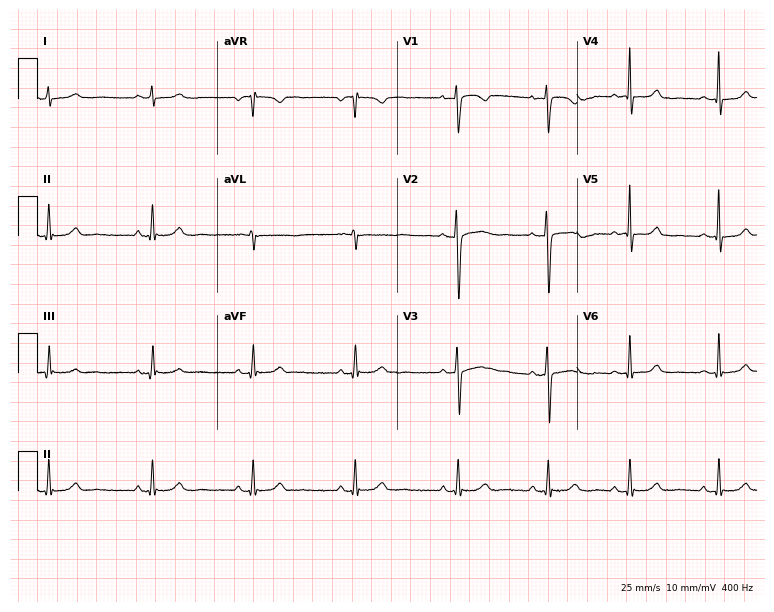
ECG — a female patient, 33 years old. Labelled as a normal ECG.